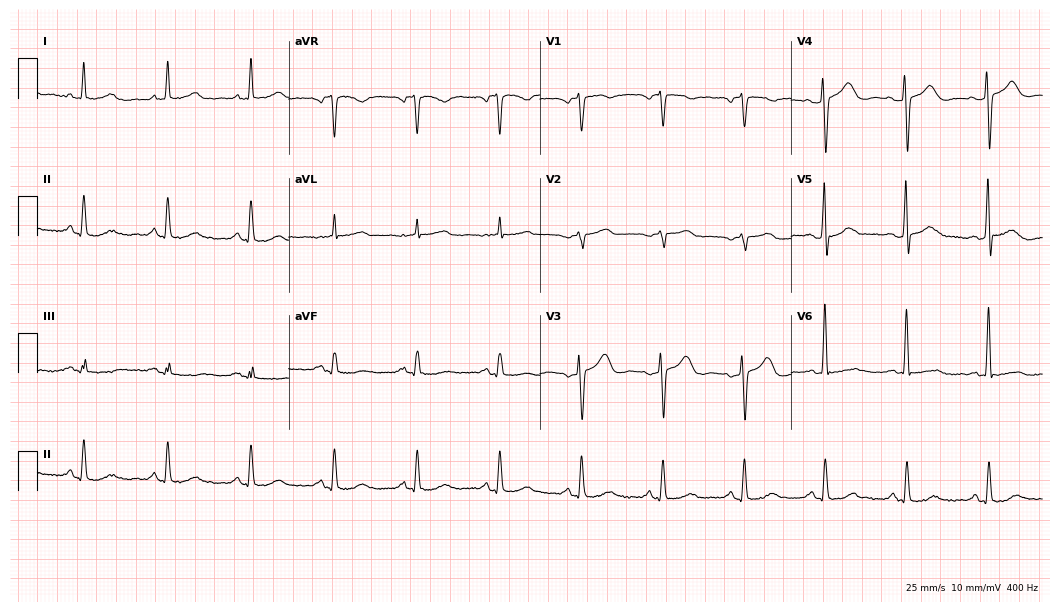
ECG (10.2-second recording at 400 Hz) — a woman, 64 years old. Labelled as a normal ECG.